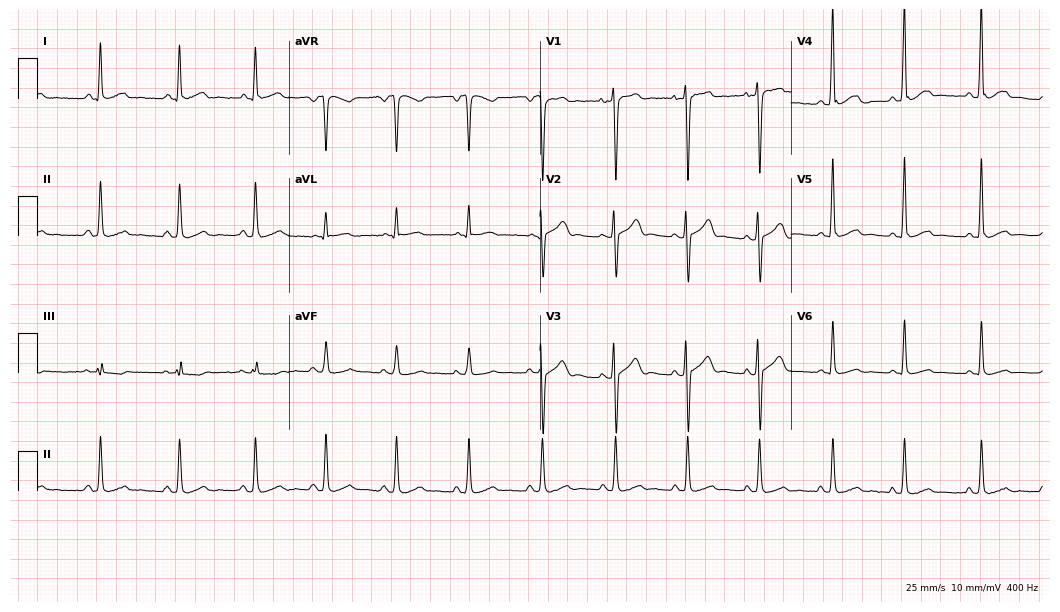
12-lead ECG (10.2-second recording at 400 Hz) from a male patient, 21 years old. Labelled as a normal ECG.